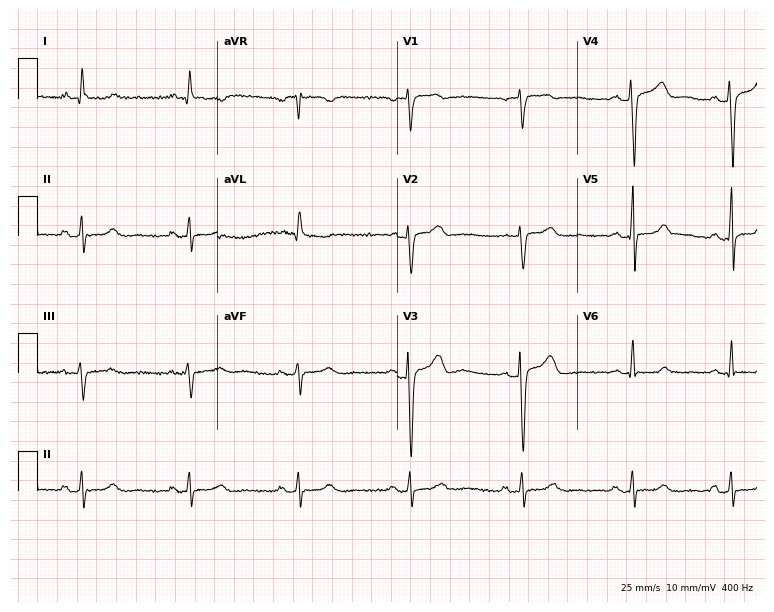
12-lead ECG from a female patient, 56 years old. No first-degree AV block, right bundle branch block, left bundle branch block, sinus bradycardia, atrial fibrillation or sinus tachycardia recorded for this tracing. Findings outside these six are not listed.